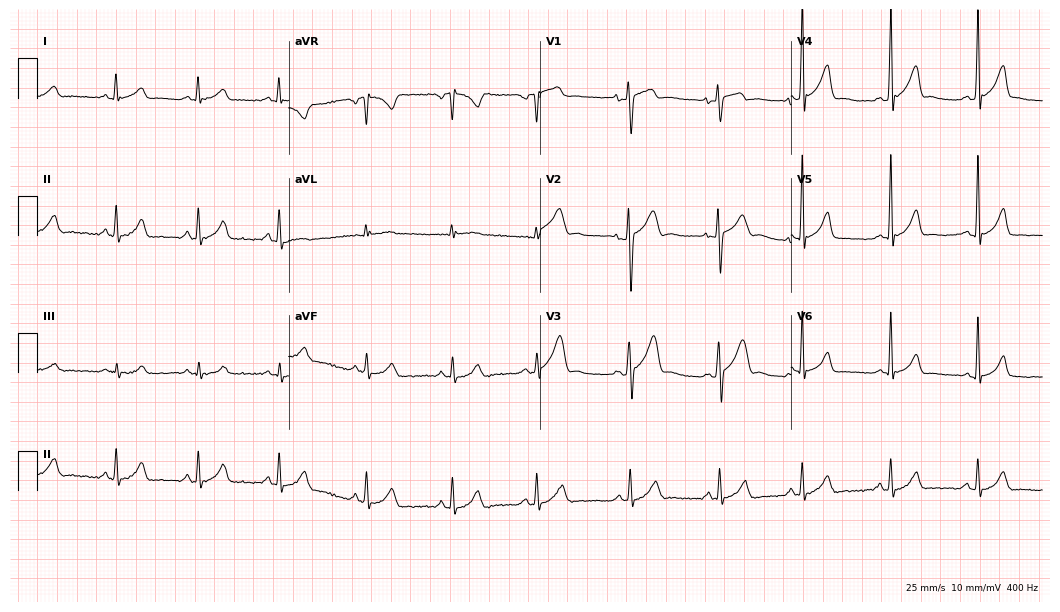
Electrocardiogram (10.2-second recording at 400 Hz), a man, 19 years old. Overall reading on record: normal ECG.